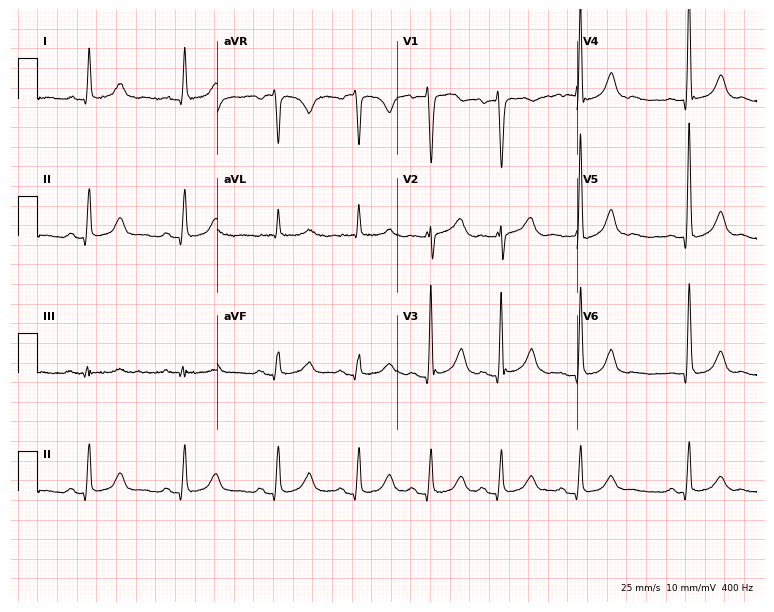
12-lead ECG from a 47-year-old male patient (7.3-second recording at 400 Hz). No first-degree AV block, right bundle branch block (RBBB), left bundle branch block (LBBB), sinus bradycardia, atrial fibrillation (AF) or sinus tachycardia recorded for this tracing.